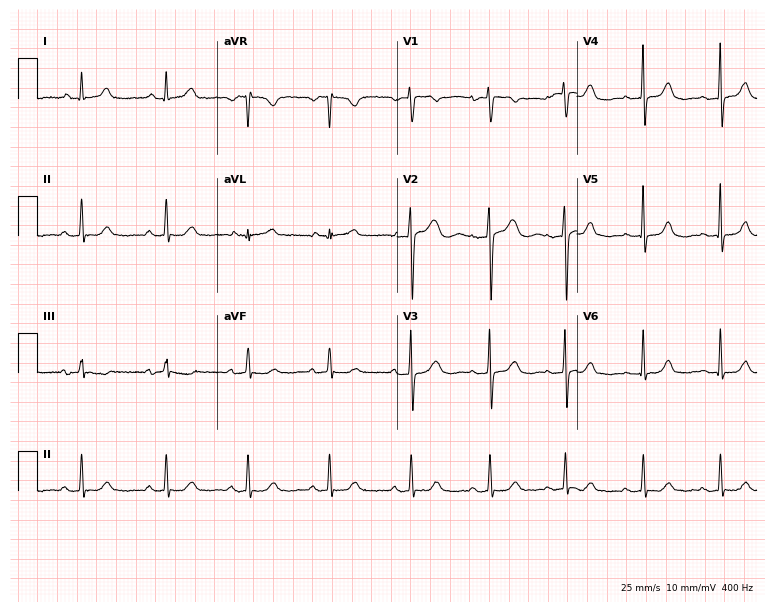
Resting 12-lead electrocardiogram (7.3-second recording at 400 Hz). Patient: a female, 61 years old. Read as a normal ECG.